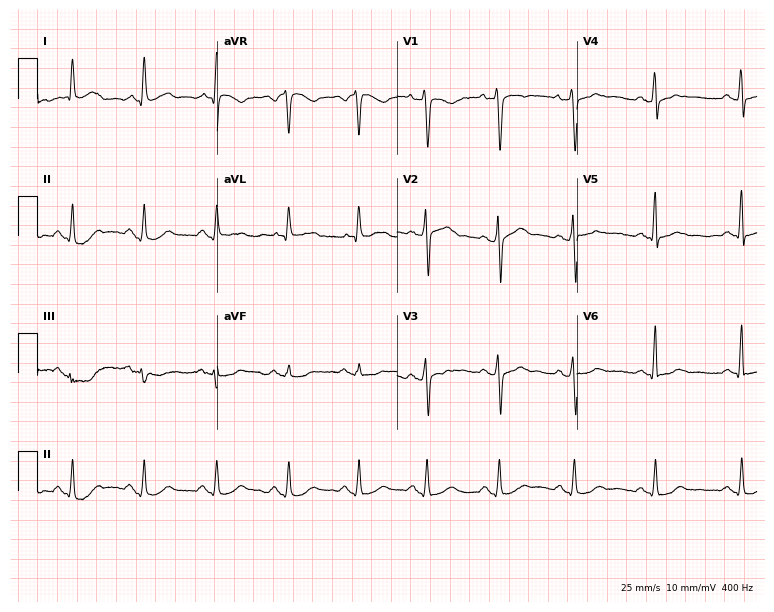
Standard 12-lead ECG recorded from a 40-year-old male patient (7.3-second recording at 400 Hz). Read as a normal ECG.